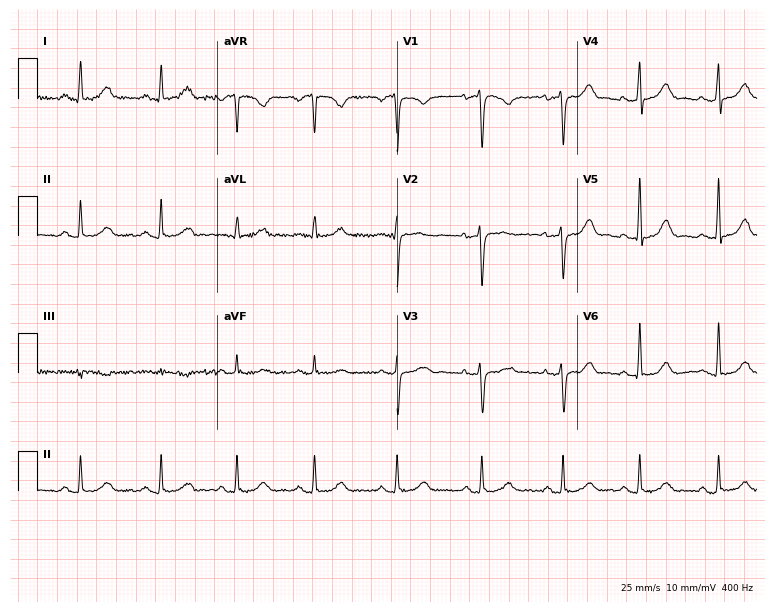
12-lead ECG from a 34-year-old woman. Recorded interpretation: within normal limits.